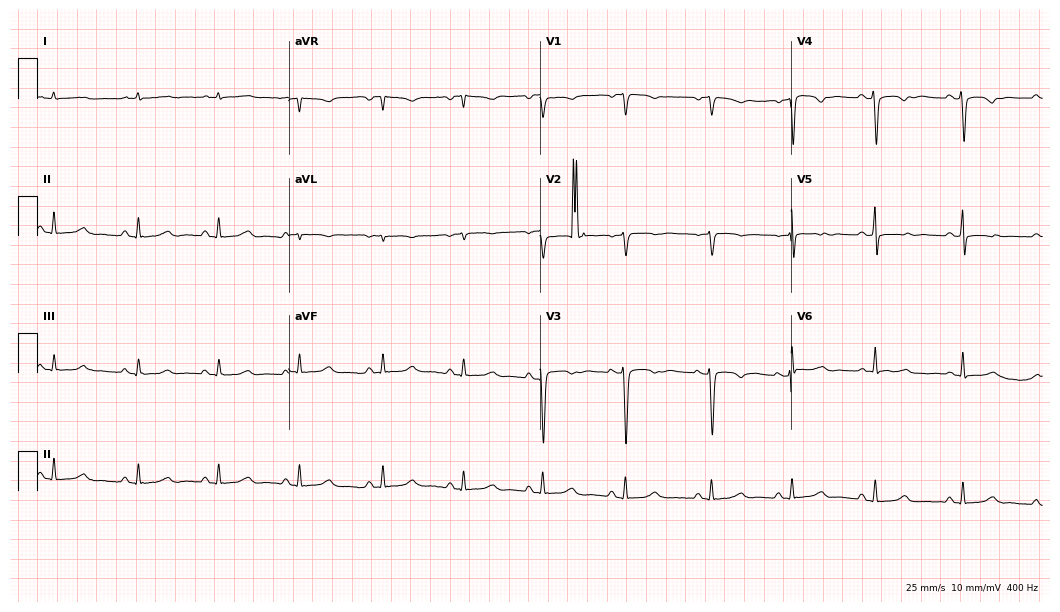
12-lead ECG from a 46-year-old female. Screened for six findings — first-degree AV block, right bundle branch block, left bundle branch block, sinus bradycardia, atrial fibrillation, sinus tachycardia — none is recorded. Only these six findings were labelled.